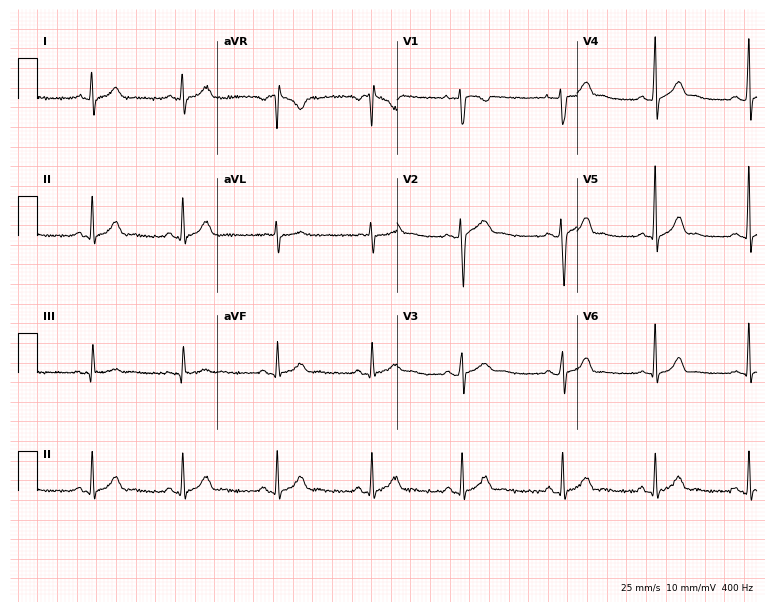
Resting 12-lead electrocardiogram. Patient: a 40-year-old man. Read as a normal ECG.